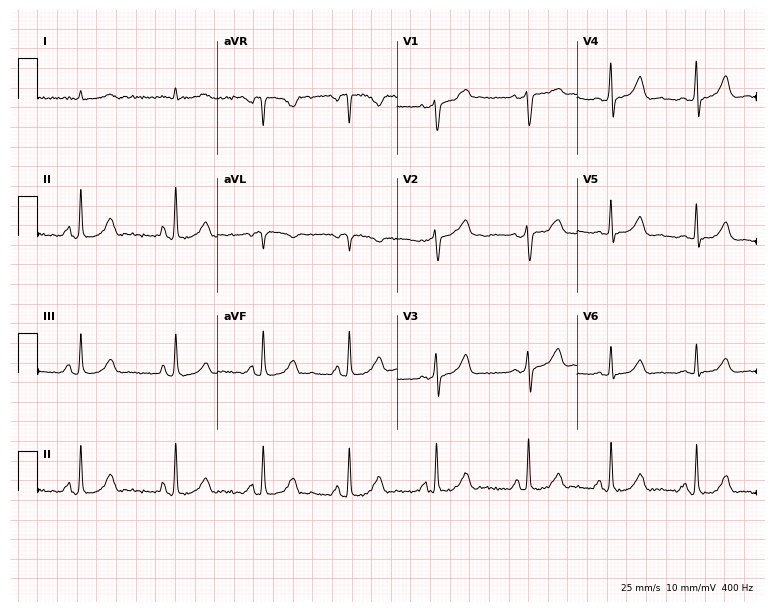
ECG — a 54-year-old male. Screened for six findings — first-degree AV block, right bundle branch block, left bundle branch block, sinus bradycardia, atrial fibrillation, sinus tachycardia — none is recorded. Only these six findings were labelled.